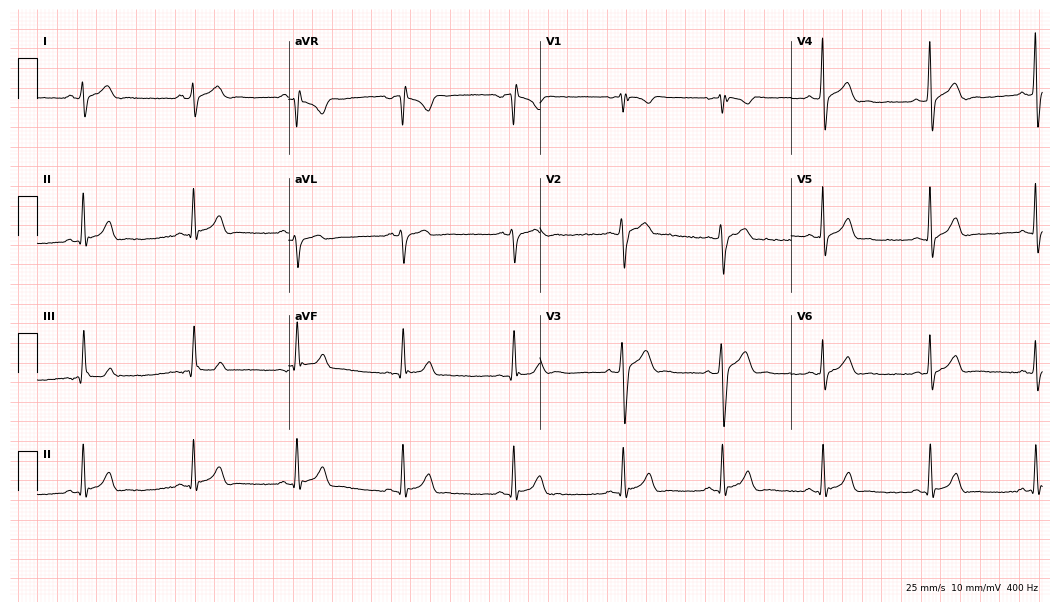
12-lead ECG (10.2-second recording at 400 Hz) from a 35-year-old male patient. Screened for six findings — first-degree AV block, right bundle branch block, left bundle branch block, sinus bradycardia, atrial fibrillation, sinus tachycardia — none is recorded.